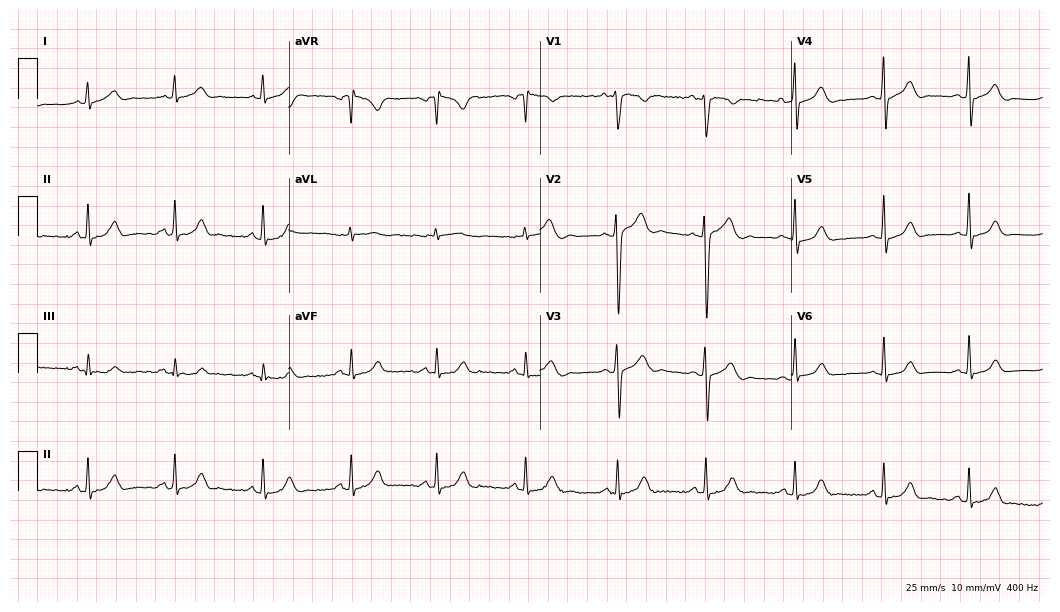
12-lead ECG from a male patient, 23 years old (10.2-second recording at 400 Hz). Recorded interpretation: within normal limits.